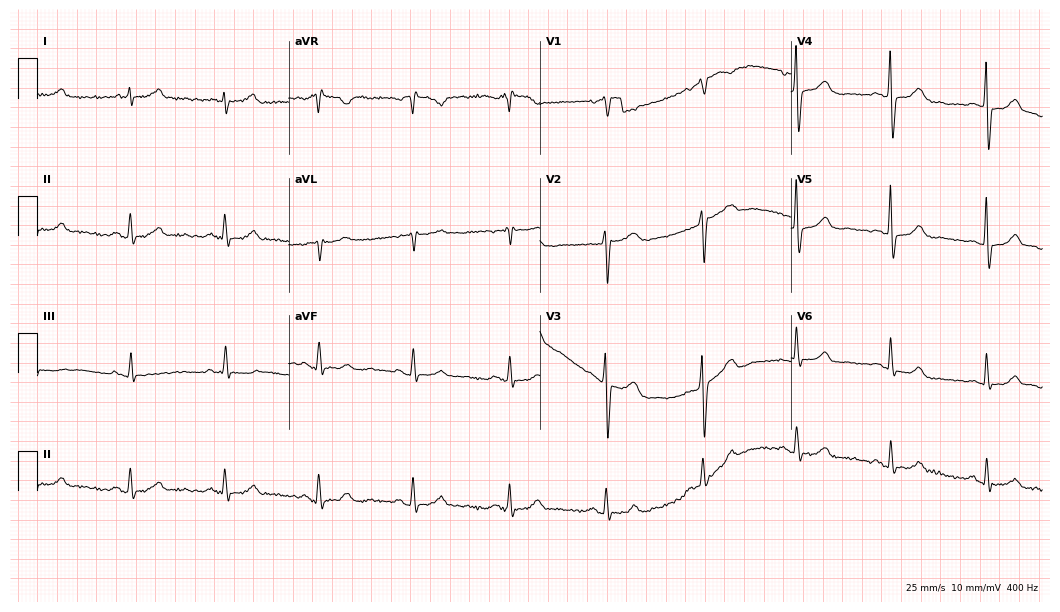
Resting 12-lead electrocardiogram (10.2-second recording at 400 Hz). Patient: a female, 70 years old. Read as a normal ECG.